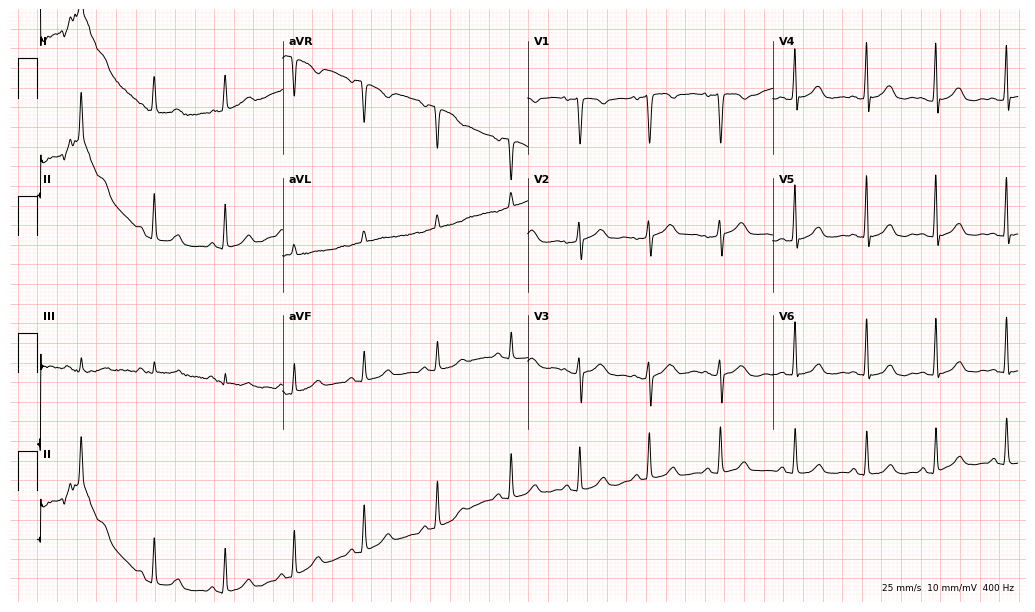
12-lead ECG from a female patient, 47 years old. Labelled as a normal ECG.